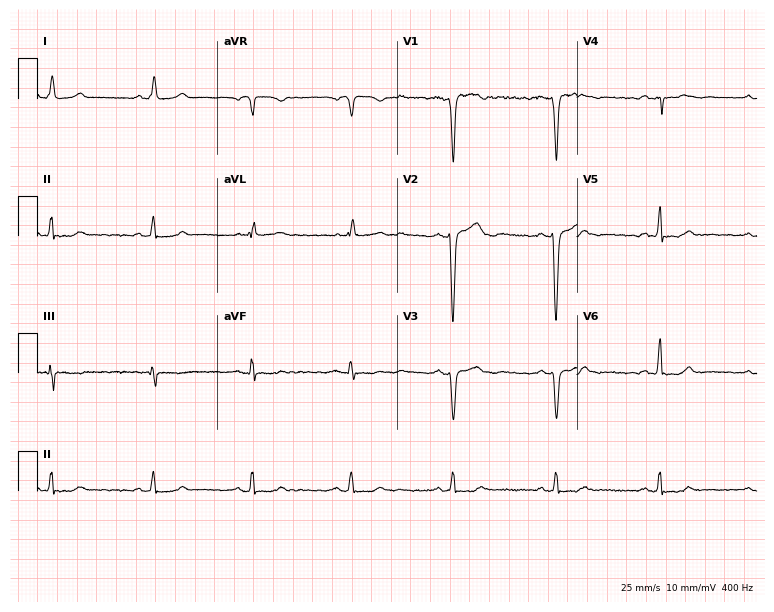
12-lead ECG (7.3-second recording at 400 Hz) from a woman, 57 years old. Screened for six findings — first-degree AV block, right bundle branch block, left bundle branch block, sinus bradycardia, atrial fibrillation, sinus tachycardia — none is recorded. Other findings, if any, are not listed.